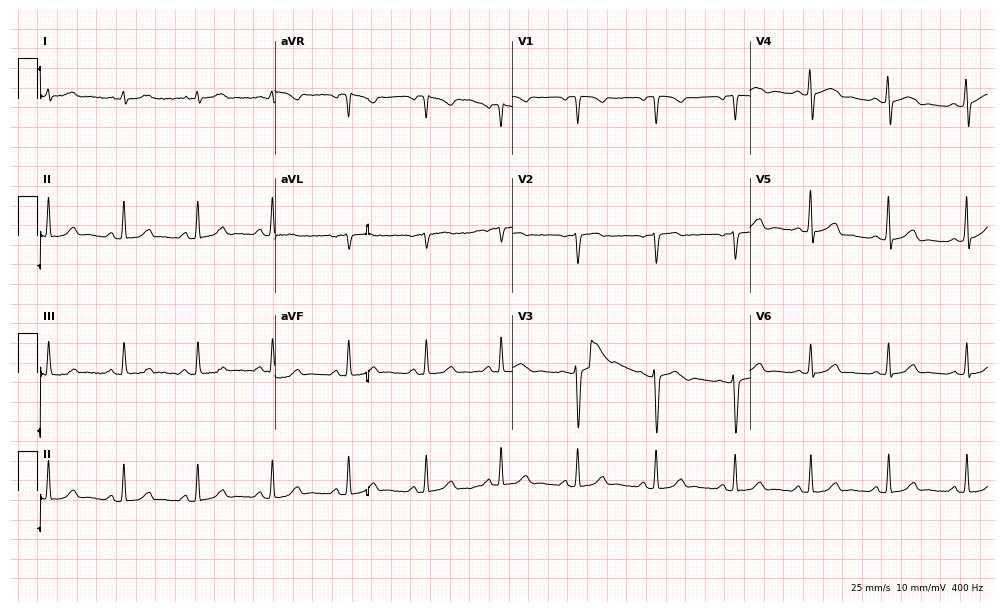
Resting 12-lead electrocardiogram. Patient: a woman, 29 years old. Read as a normal ECG.